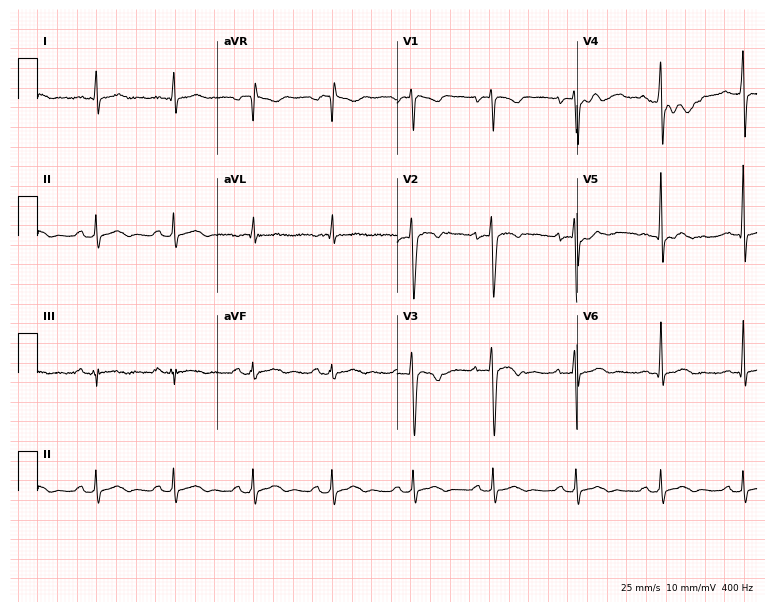
12-lead ECG from a man, 29 years old. Screened for six findings — first-degree AV block, right bundle branch block (RBBB), left bundle branch block (LBBB), sinus bradycardia, atrial fibrillation (AF), sinus tachycardia — none is recorded. Only these six findings were labelled.